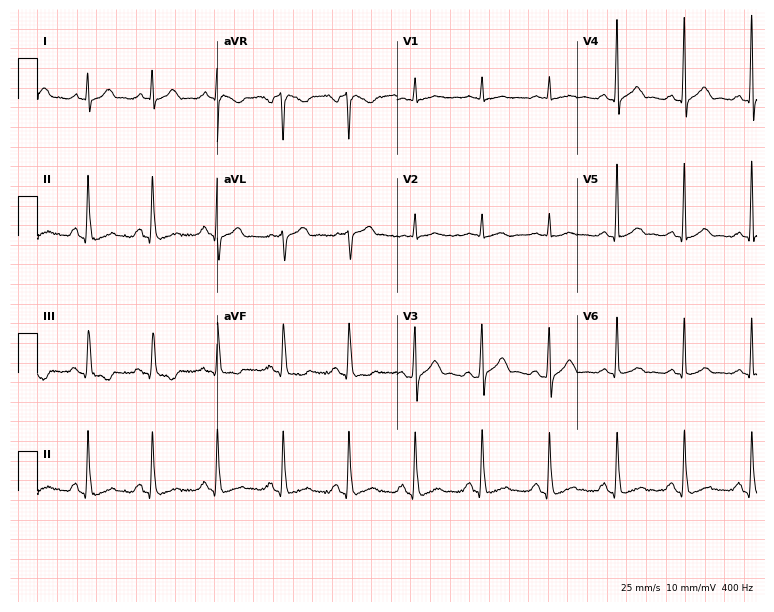
Resting 12-lead electrocardiogram. Patient: a male, 52 years old. Read as a normal ECG.